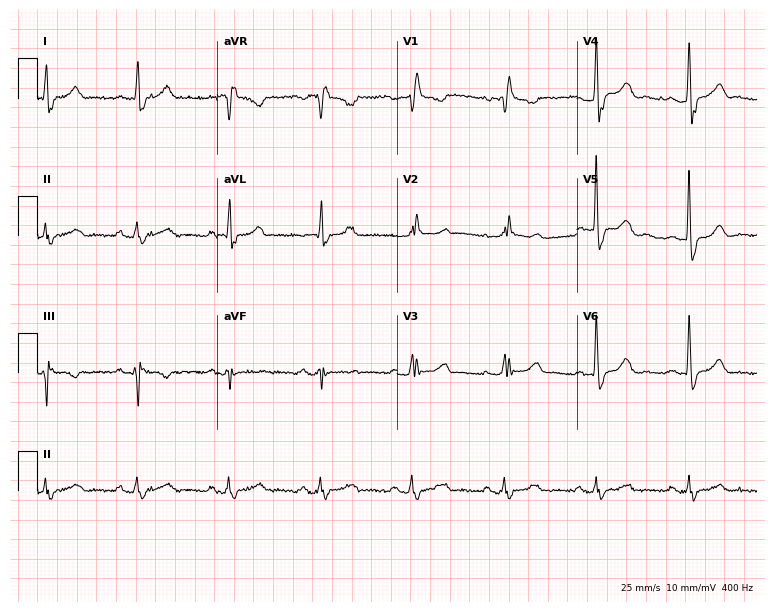
Electrocardiogram (7.3-second recording at 400 Hz), a 76-year-old woman. Interpretation includes right bundle branch block (RBBB).